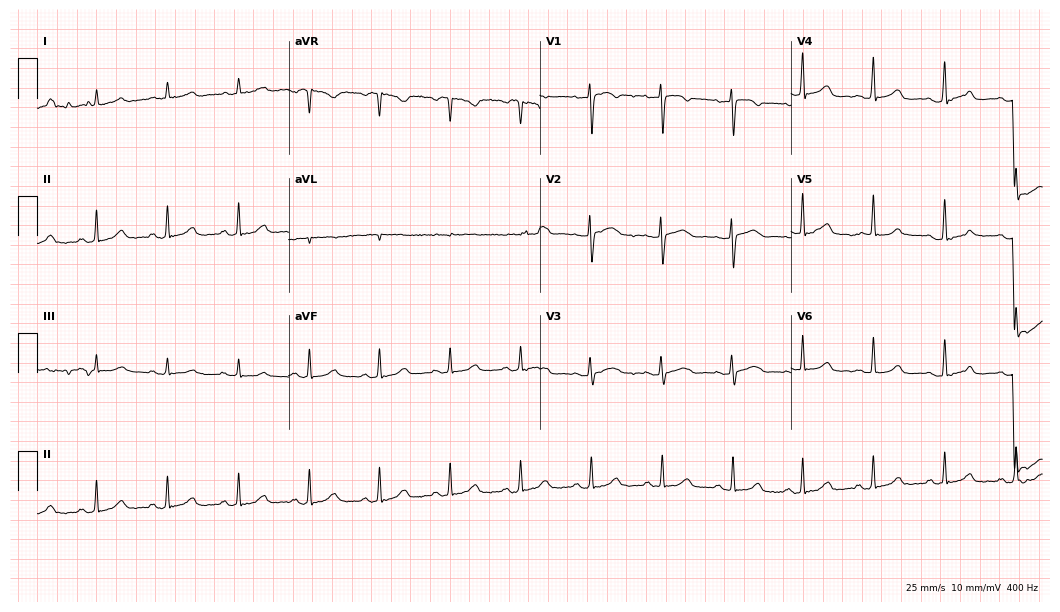
Electrocardiogram, a female patient, 68 years old. Overall reading on record: normal ECG.